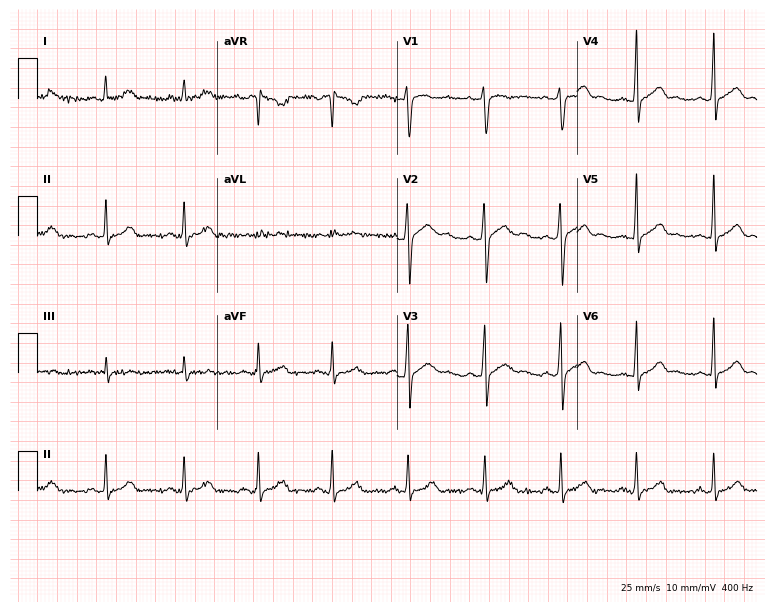
Electrocardiogram (7.3-second recording at 400 Hz), a male, 26 years old. Overall reading on record: normal ECG.